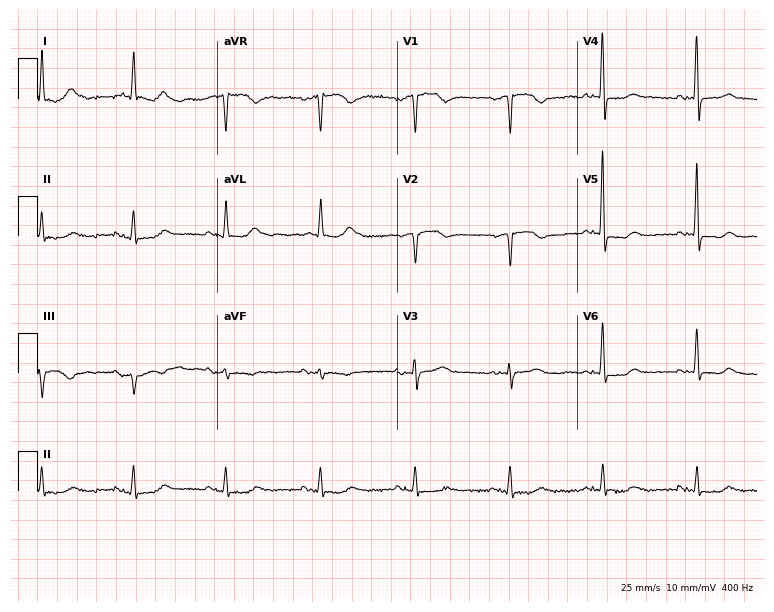
Electrocardiogram (7.3-second recording at 400 Hz), a female, 81 years old. Of the six screened findings (first-degree AV block, right bundle branch block, left bundle branch block, sinus bradycardia, atrial fibrillation, sinus tachycardia), none is recorded.